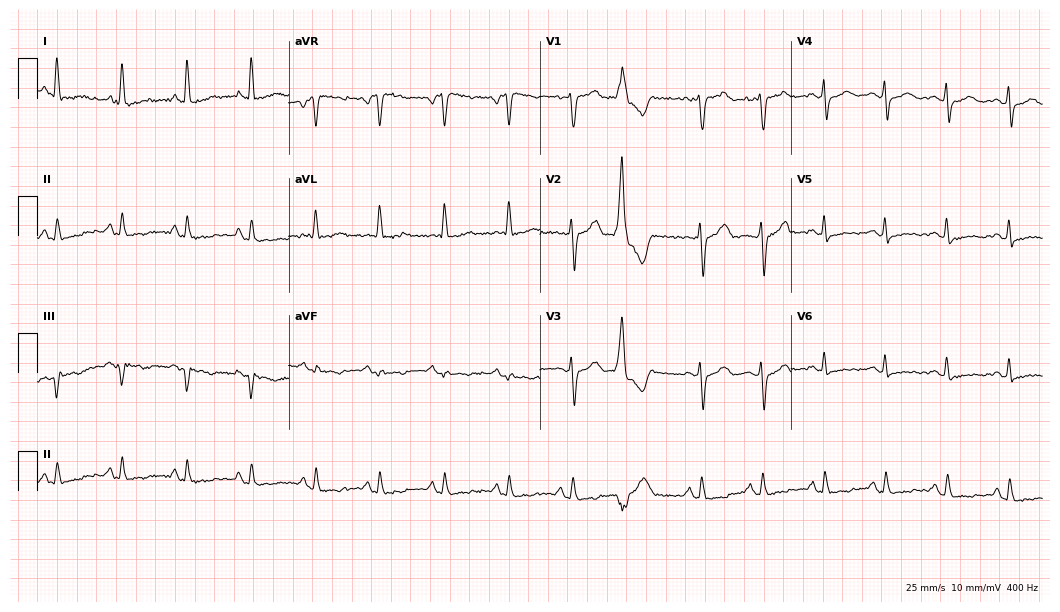
Electrocardiogram (10.2-second recording at 400 Hz), a 74-year-old female patient. Of the six screened findings (first-degree AV block, right bundle branch block, left bundle branch block, sinus bradycardia, atrial fibrillation, sinus tachycardia), none is recorded. Other findings, if any, are not listed.